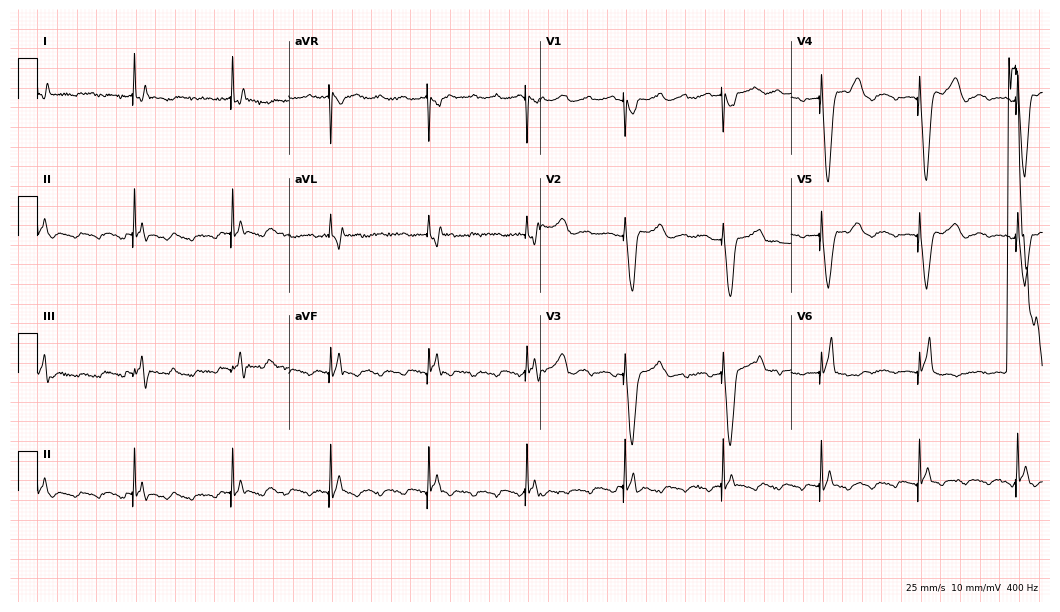
Resting 12-lead electrocardiogram (10.2-second recording at 400 Hz). Patient: a woman, 84 years old. None of these six findings is recorded: first-degree AV block, right bundle branch block, left bundle branch block, sinus bradycardia, atrial fibrillation, sinus tachycardia. Findings outside these six are not listed.